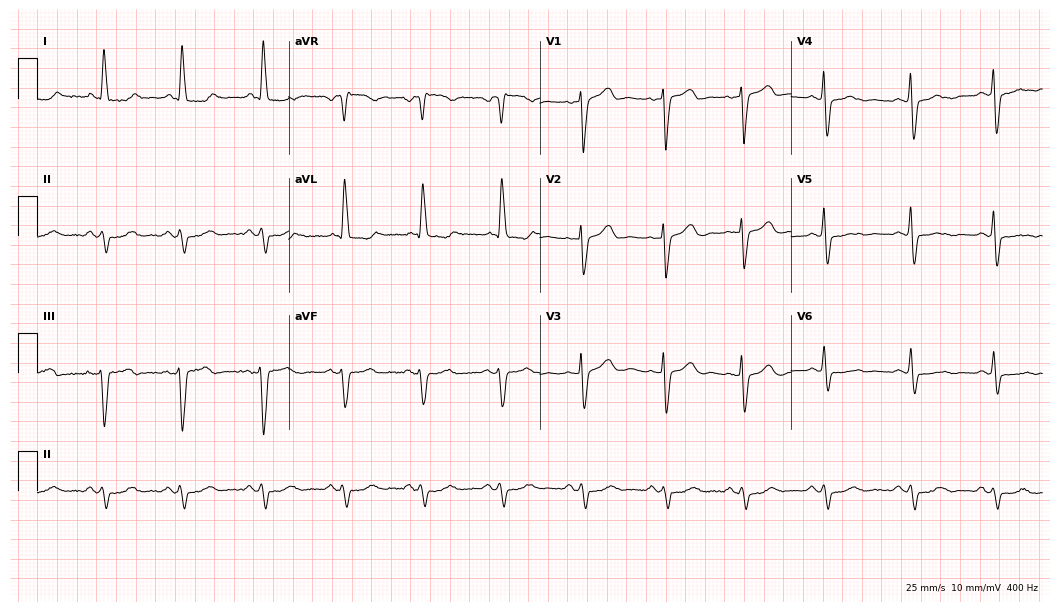
Standard 12-lead ECG recorded from an 82-year-old female patient (10.2-second recording at 400 Hz). None of these six findings is recorded: first-degree AV block, right bundle branch block, left bundle branch block, sinus bradycardia, atrial fibrillation, sinus tachycardia.